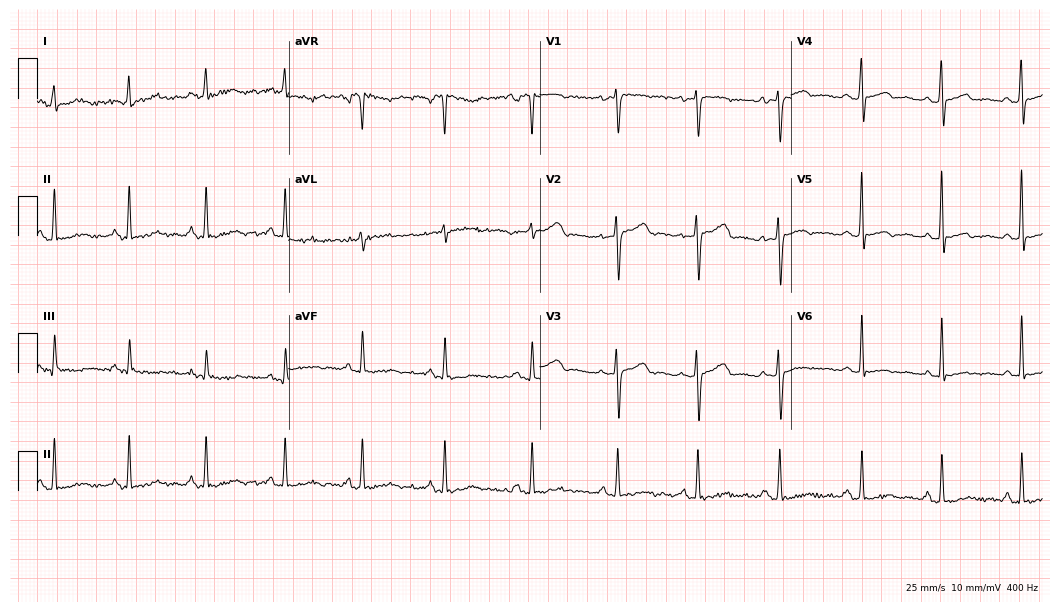
12-lead ECG from a woman, 54 years old. Recorded interpretation: within normal limits.